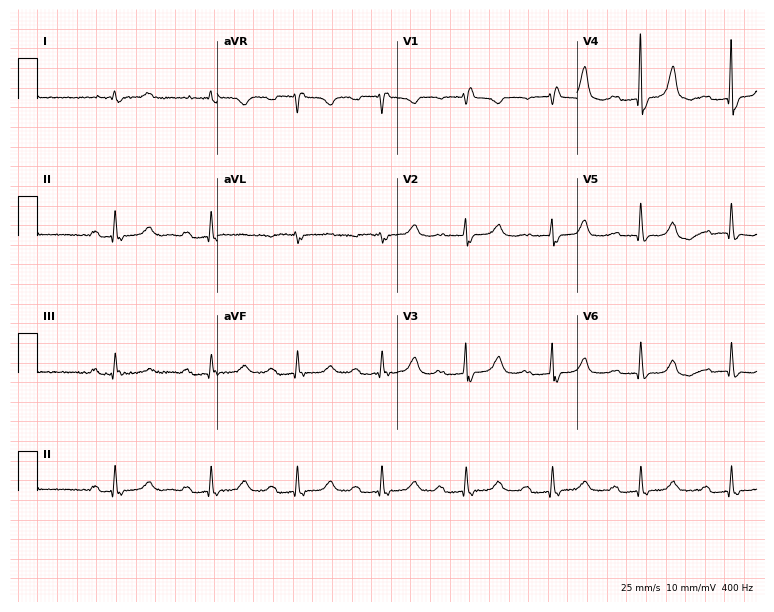
12-lead ECG from a female, 65 years old. Findings include right bundle branch block.